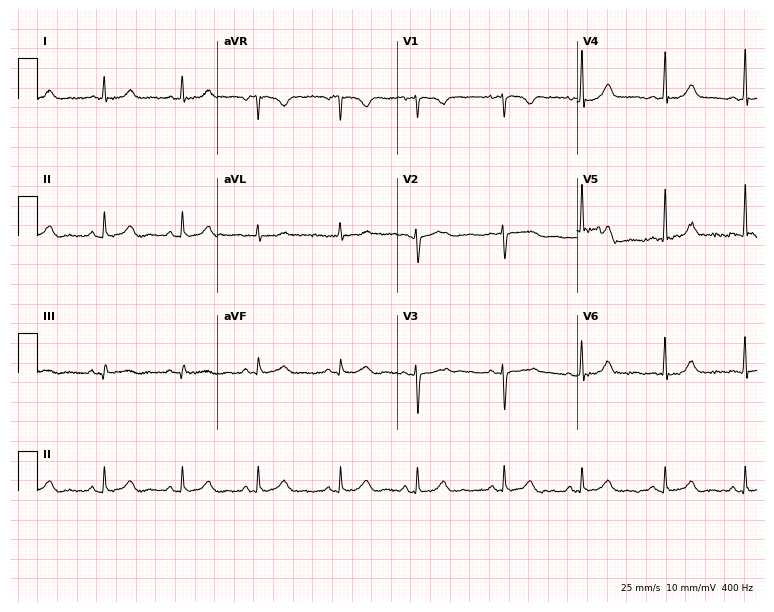
12-lead ECG from a 20-year-old female patient. No first-degree AV block, right bundle branch block, left bundle branch block, sinus bradycardia, atrial fibrillation or sinus tachycardia recorded for this tracing. Only these six findings were labelled.